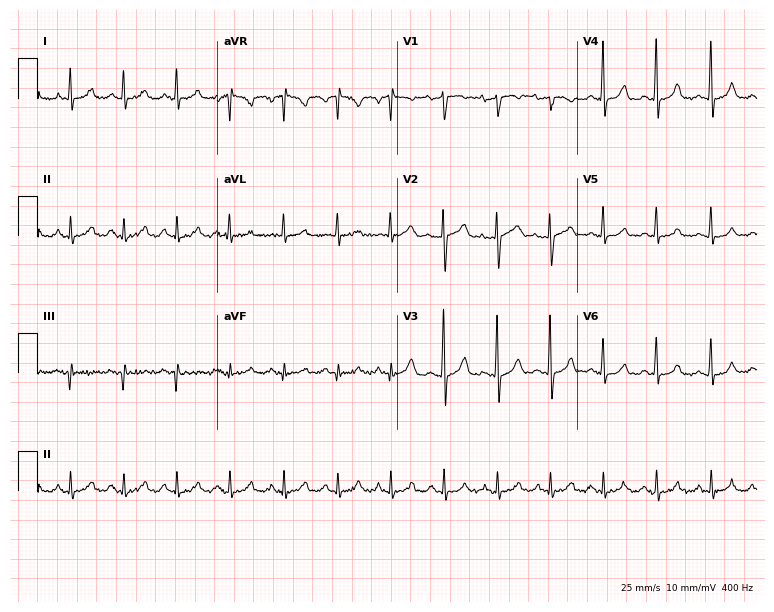
Electrocardiogram (7.3-second recording at 400 Hz), a female, 57 years old. Of the six screened findings (first-degree AV block, right bundle branch block (RBBB), left bundle branch block (LBBB), sinus bradycardia, atrial fibrillation (AF), sinus tachycardia), none is recorded. Findings outside these six are not listed.